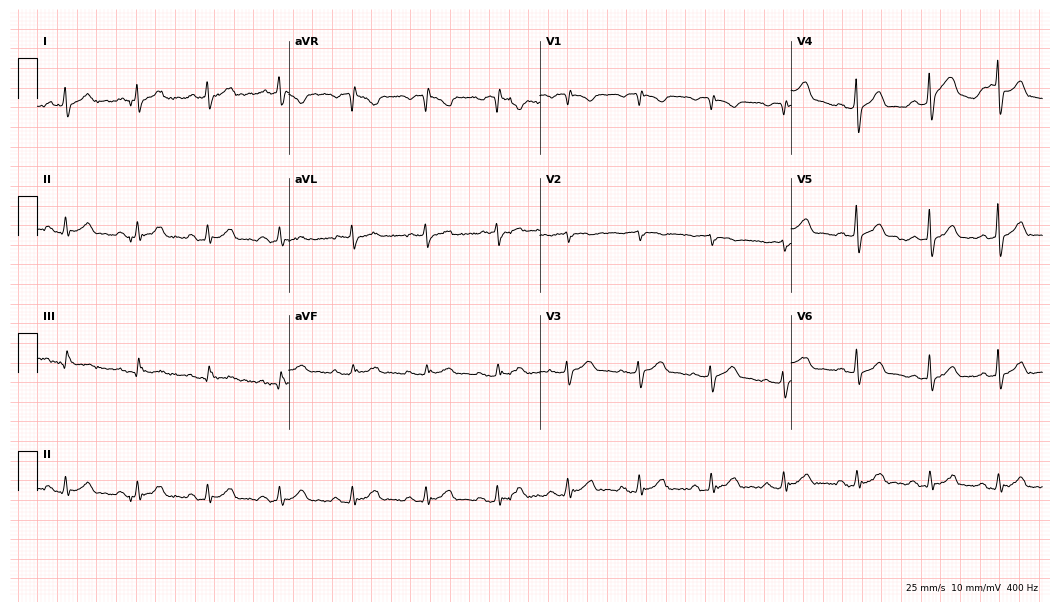
ECG — a 17-year-old male patient. Labelled as a normal ECG.